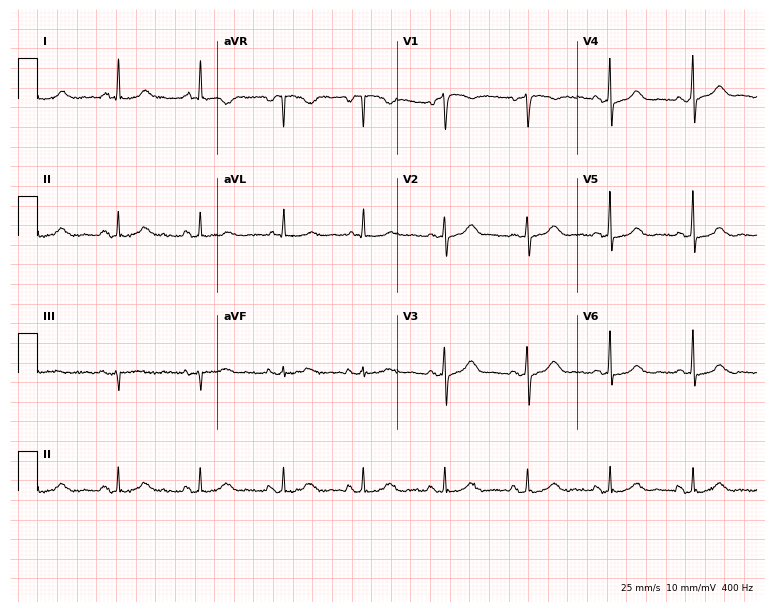
Electrocardiogram, a female, 61 years old. Overall reading on record: normal ECG.